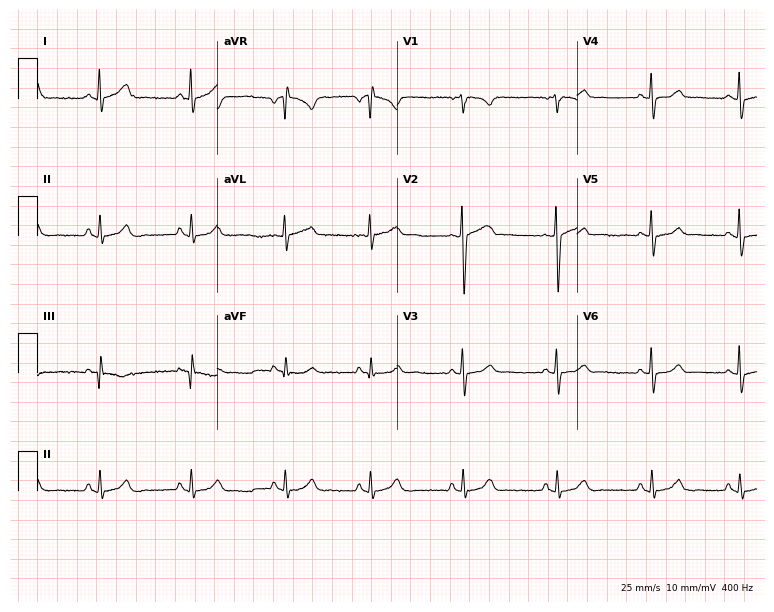
Standard 12-lead ECG recorded from a female patient, 40 years old (7.3-second recording at 400 Hz). None of these six findings is recorded: first-degree AV block, right bundle branch block, left bundle branch block, sinus bradycardia, atrial fibrillation, sinus tachycardia. Findings outside these six are not listed.